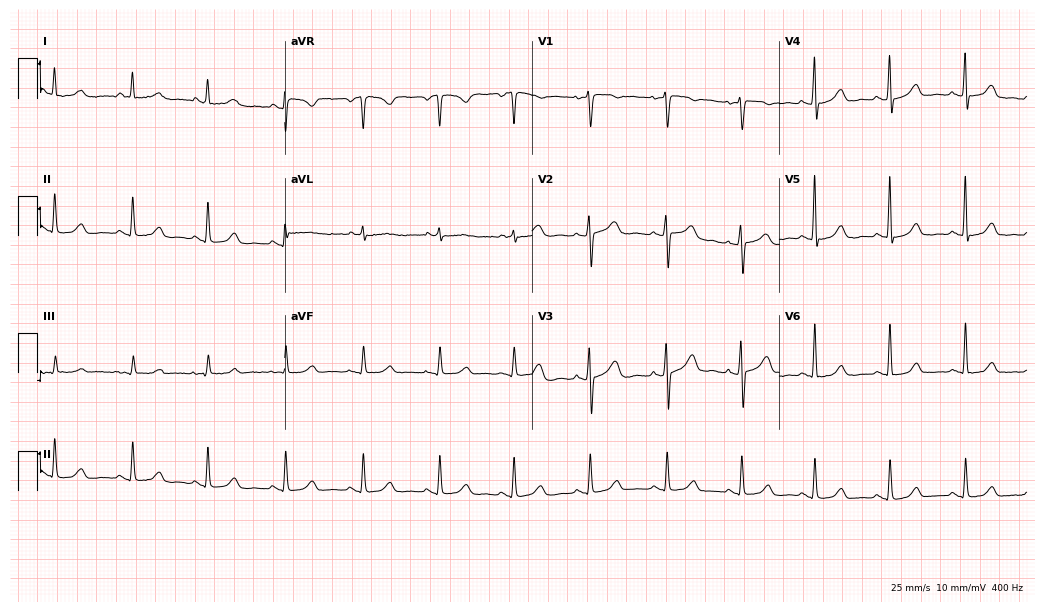
12-lead ECG (10.1-second recording at 400 Hz) from a 59-year-old female patient. Labelled as a normal ECG.